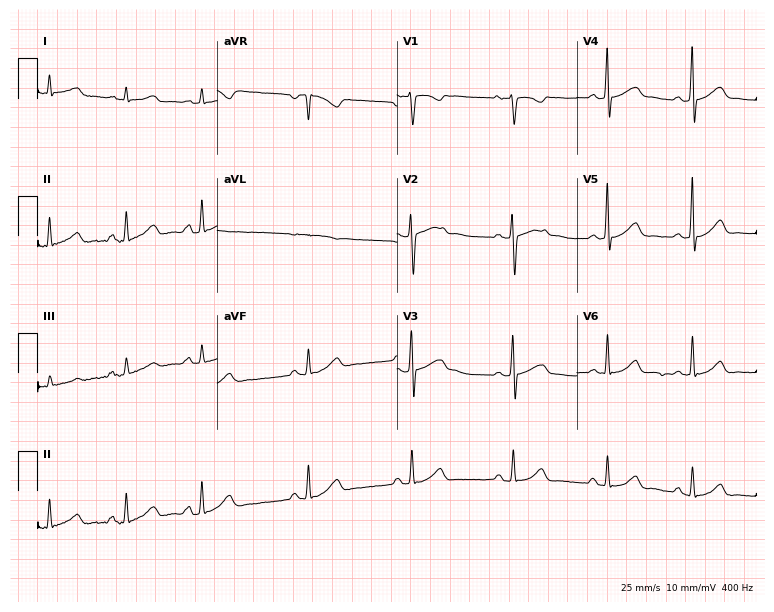
Electrocardiogram, a 23-year-old female patient. Of the six screened findings (first-degree AV block, right bundle branch block (RBBB), left bundle branch block (LBBB), sinus bradycardia, atrial fibrillation (AF), sinus tachycardia), none is recorded.